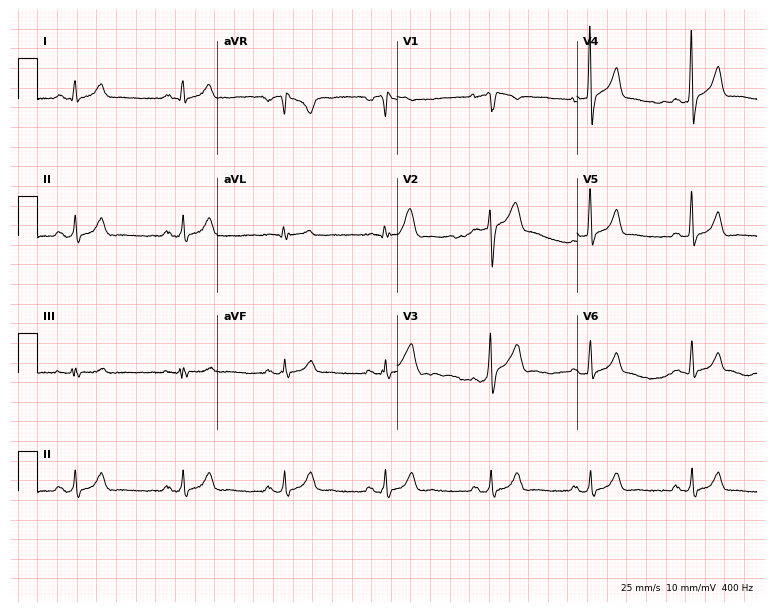
Resting 12-lead electrocardiogram (7.3-second recording at 400 Hz). Patient: a 26-year-old man. None of these six findings is recorded: first-degree AV block, right bundle branch block, left bundle branch block, sinus bradycardia, atrial fibrillation, sinus tachycardia. Other findings, if any, are not listed.